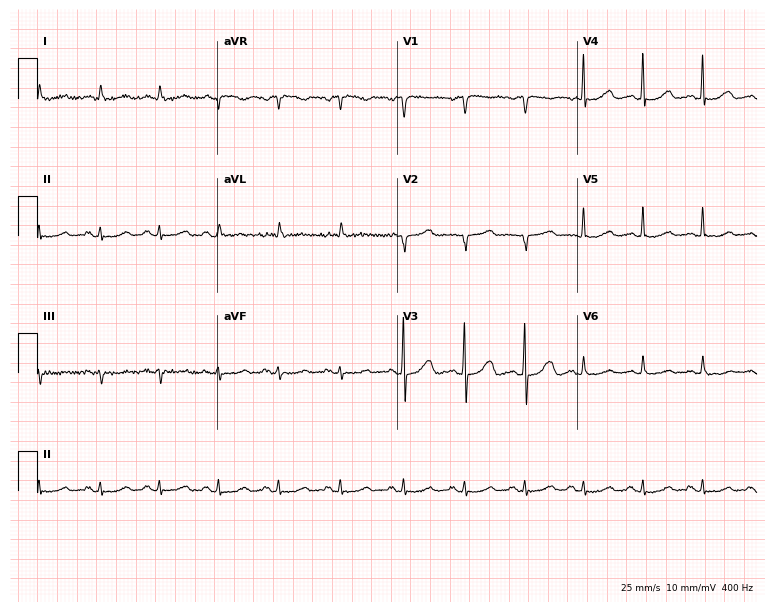
Electrocardiogram, a 54-year-old female patient. Overall reading on record: normal ECG.